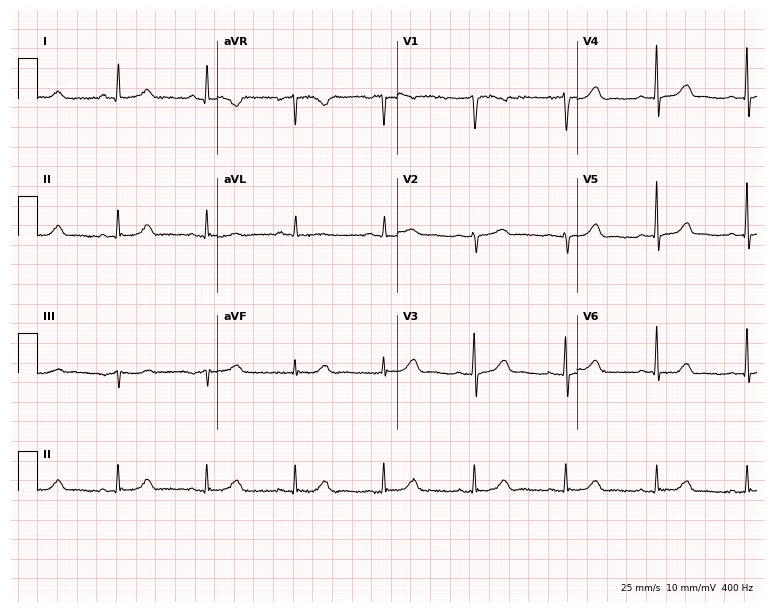
12-lead ECG (7.3-second recording at 400 Hz) from a 56-year-old female patient. Labelled as a normal ECG.